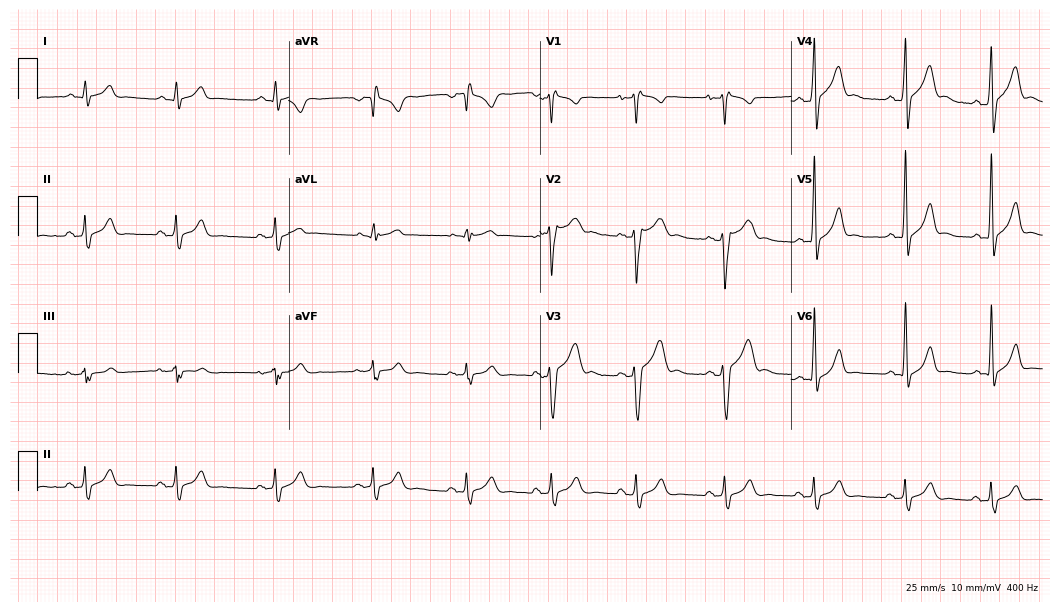
12-lead ECG from a male, 20 years old. Recorded interpretation: within normal limits.